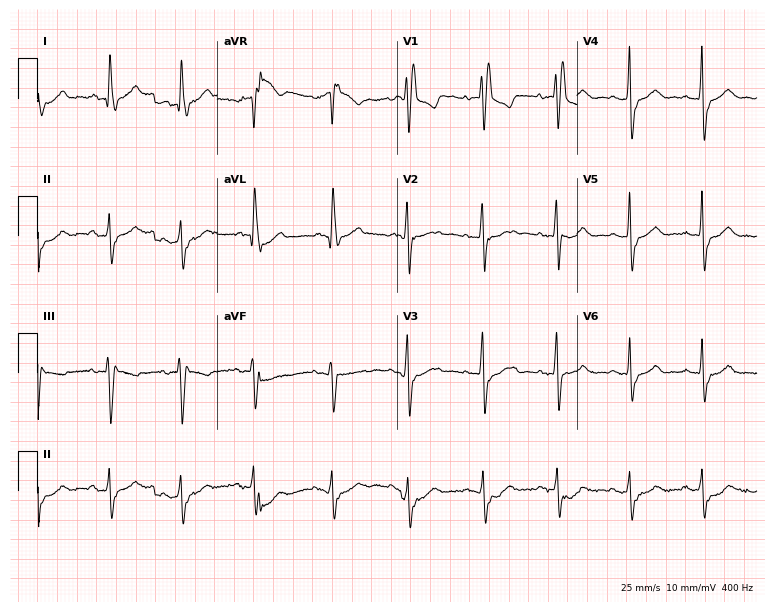
Standard 12-lead ECG recorded from a 75-year-old woman (7.3-second recording at 400 Hz). The tracing shows right bundle branch block.